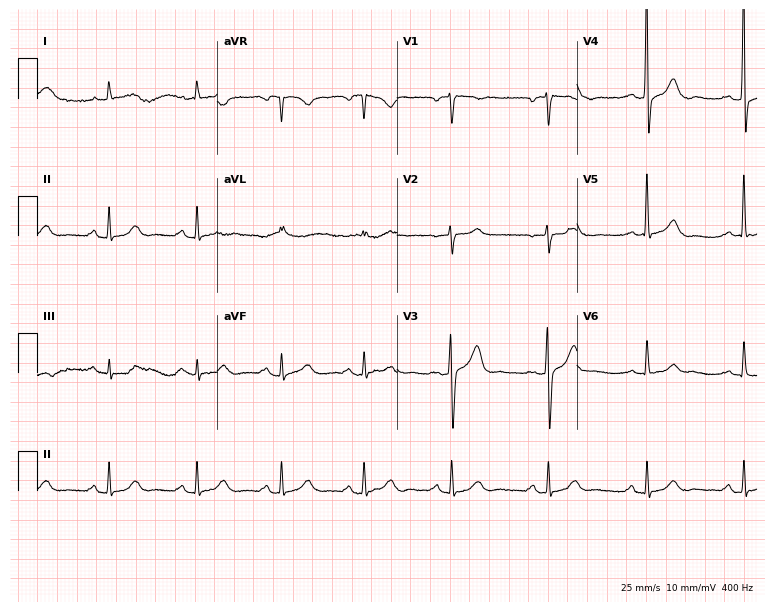
12-lead ECG from a male patient, 68 years old. Recorded interpretation: within normal limits.